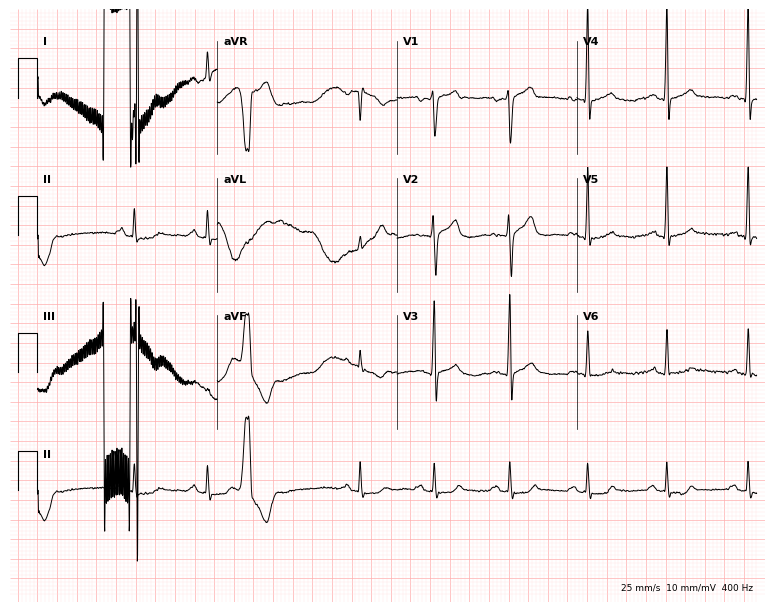
12-lead ECG from a 47-year-old male patient. Labelled as a normal ECG.